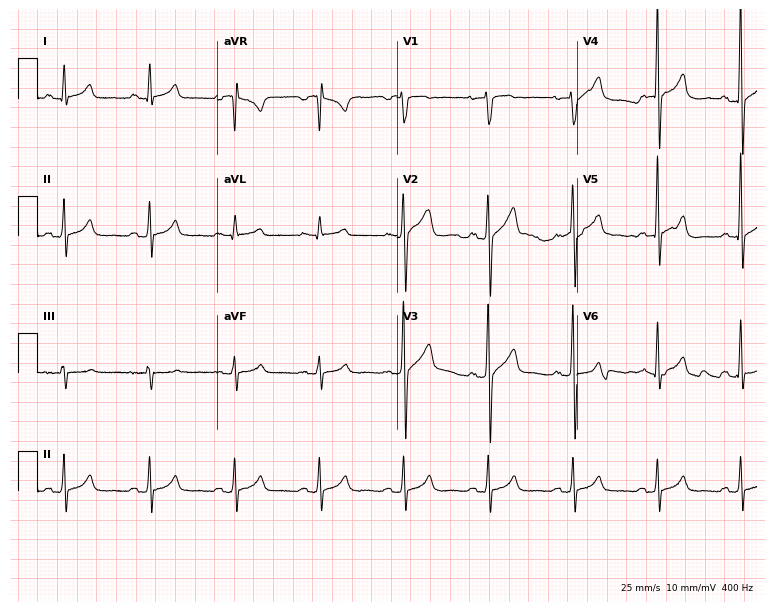
Electrocardiogram, a man, 57 years old. Overall reading on record: normal ECG.